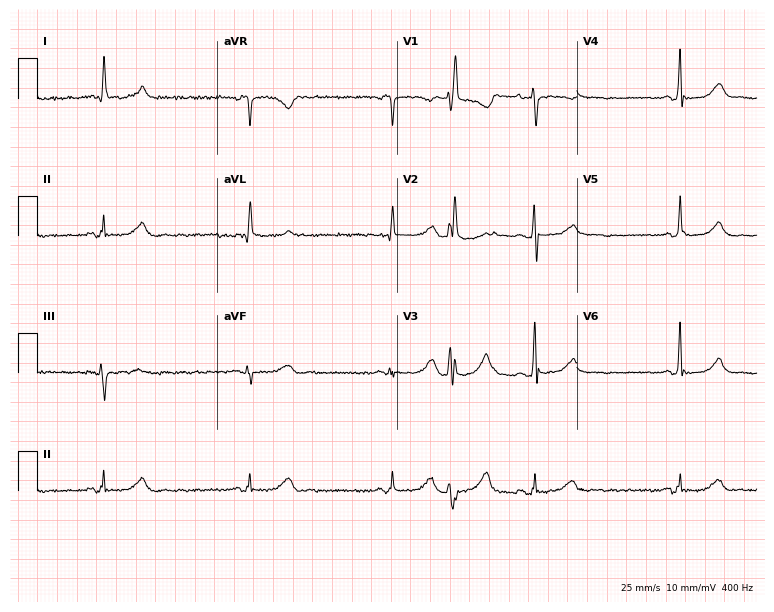
Standard 12-lead ECG recorded from a female, 61 years old (7.3-second recording at 400 Hz). The tracing shows sinus bradycardia (a sinus rate of 50 beats per minute or less).